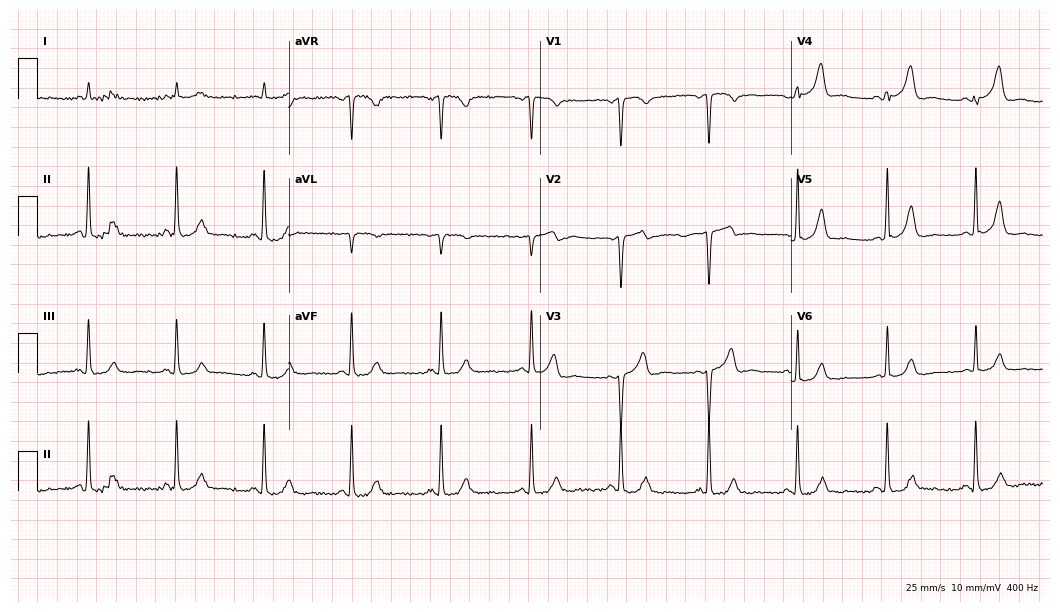
12-lead ECG from a 78-year-old male patient. Labelled as a normal ECG.